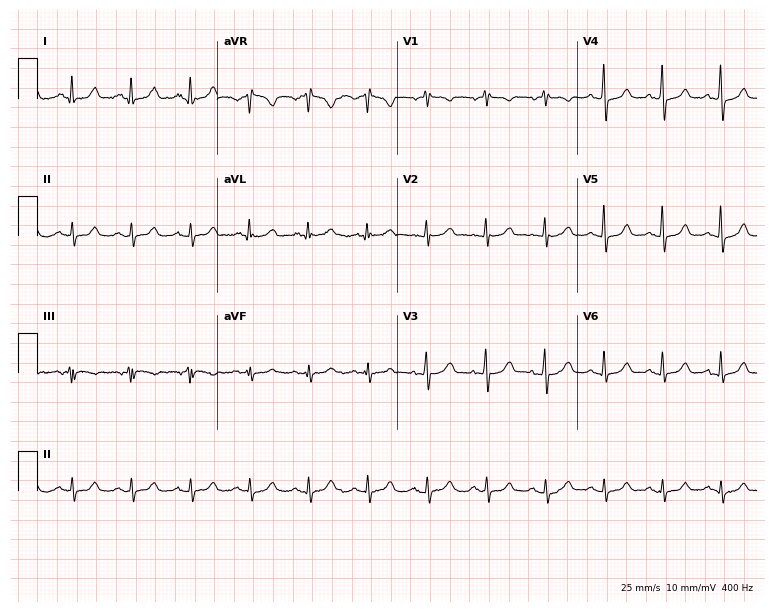
12-lead ECG from a 68-year-old female patient. No first-degree AV block, right bundle branch block (RBBB), left bundle branch block (LBBB), sinus bradycardia, atrial fibrillation (AF) or sinus tachycardia recorded for this tracing. Other findings, if any, are not listed.